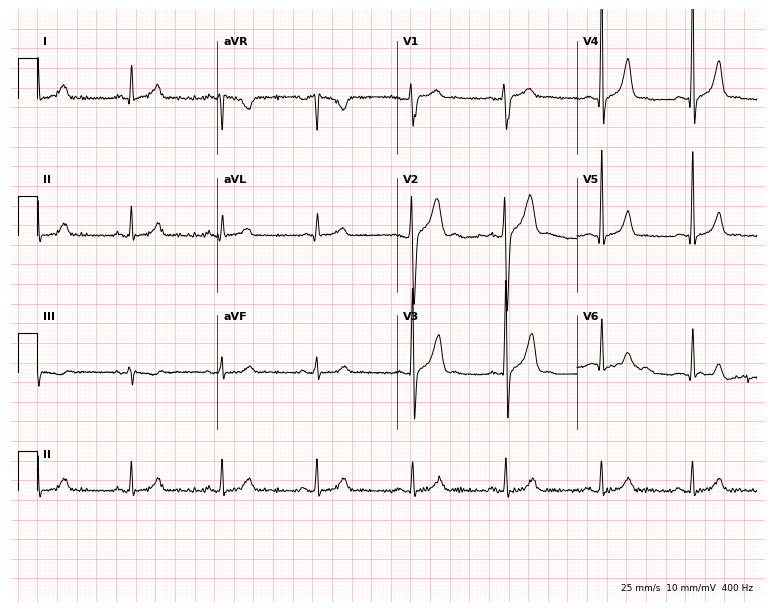
Resting 12-lead electrocardiogram. Patient: a man, 40 years old. None of these six findings is recorded: first-degree AV block, right bundle branch block, left bundle branch block, sinus bradycardia, atrial fibrillation, sinus tachycardia.